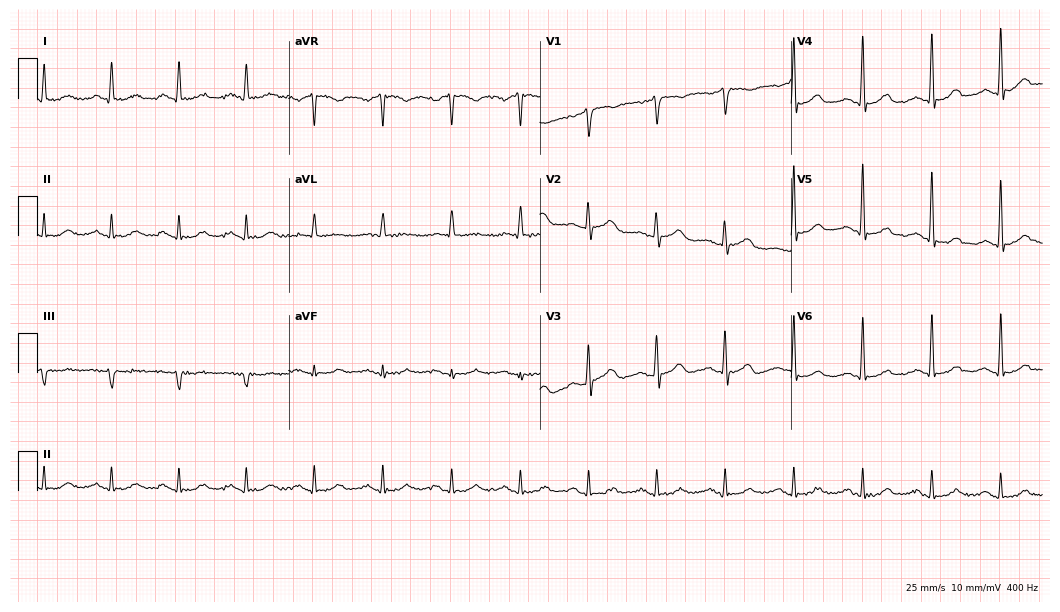
Standard 12-lead ECG recorded from a 60-year-old male. Read as a normal ECG.